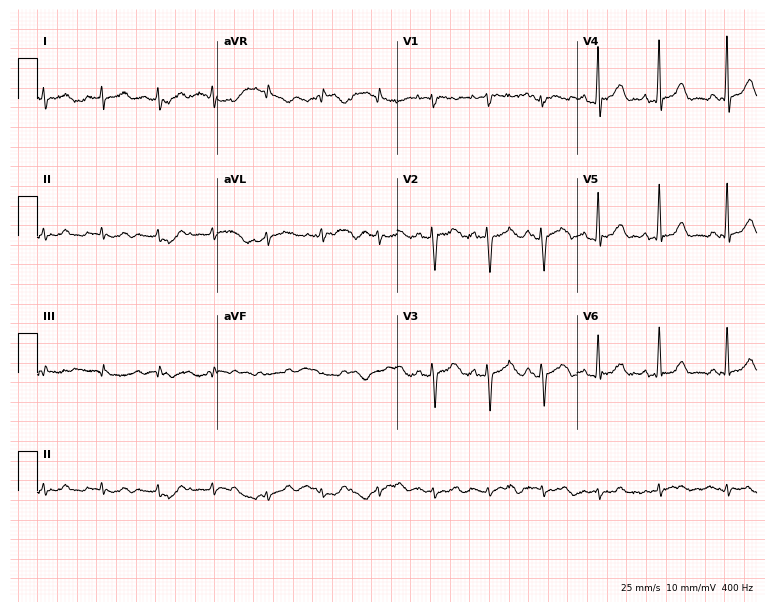
12-lead ECG from a 27-year-old woman. Screened for six findings — first-degree AV block, right bundle branch block, left bundle branch block, sinus bradycardia, atrial fibrillation, sinus tachycardia — none is recorded. Only these six findings were labelled.